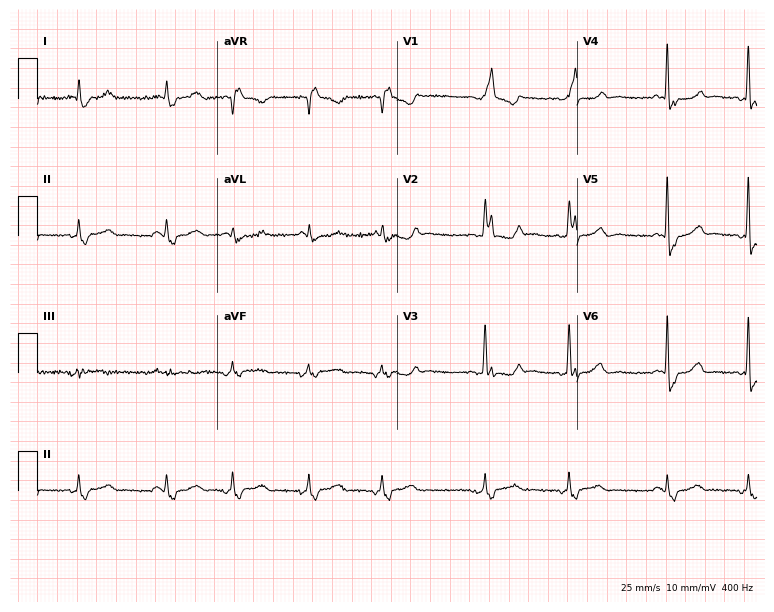
Electrocardiogram (7.3-second recording at 400 Hz), a 78-year-old female. Interpretation includes right bundle branch block (RBBB).